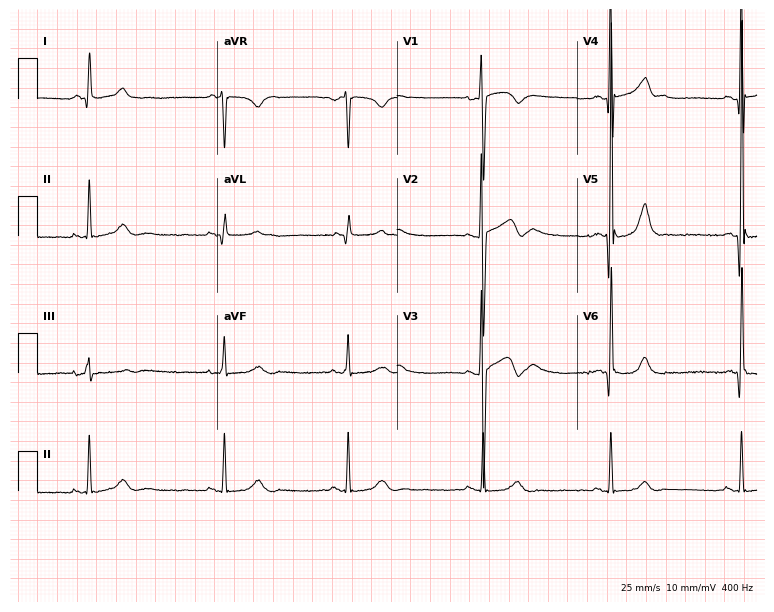
12-lead ECG from a 25-year-old male patient. Findings include sinus bradycardia (a sinus rate of 50 beats per minute or less).